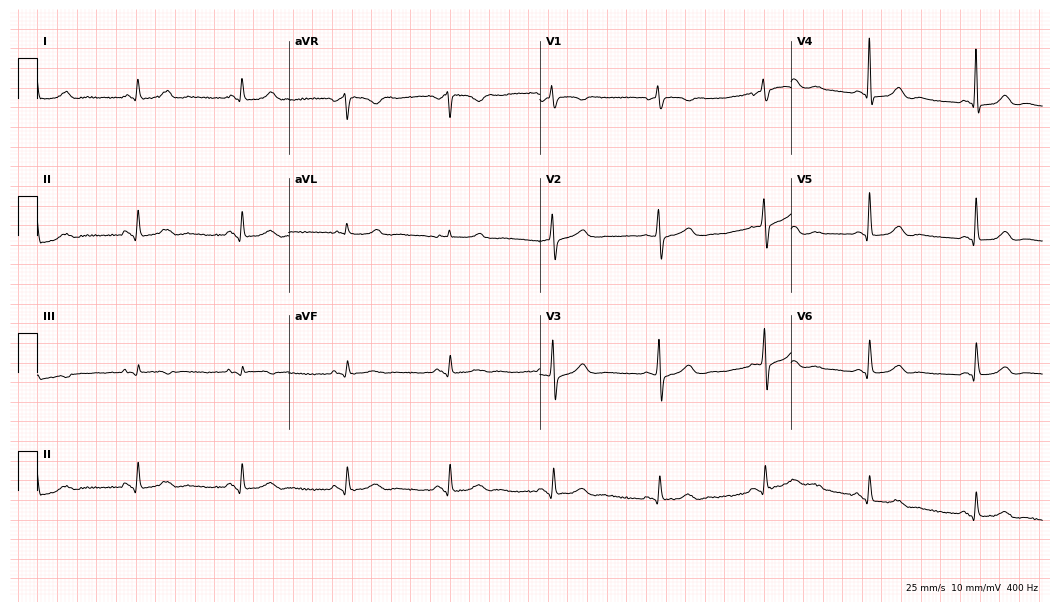
Standard 12-lead ECG recorded from a female patient, 72 years old. Read as a normal ECG.